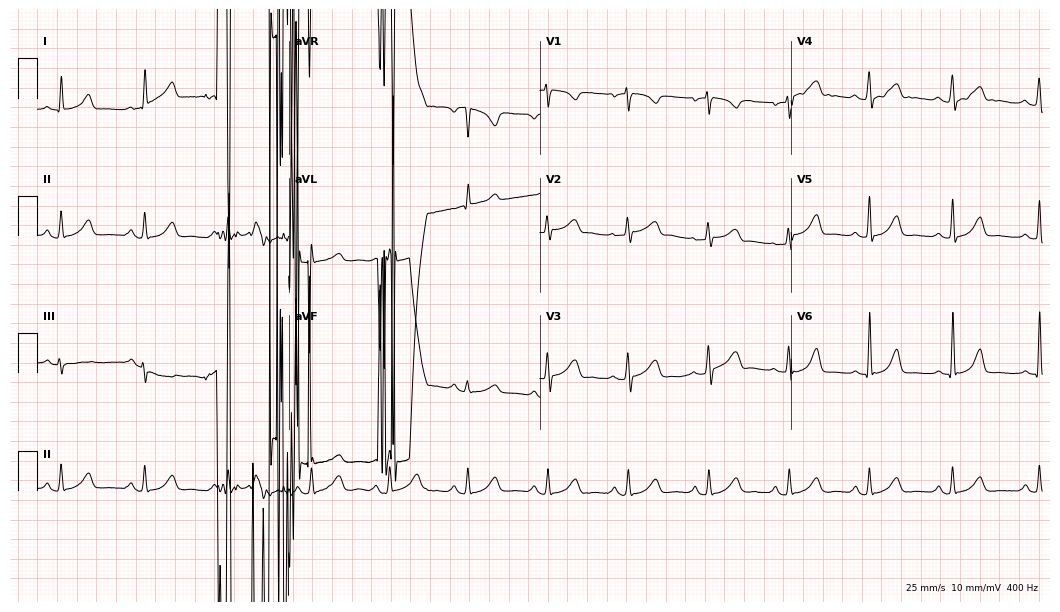
Electrocardiogram, a female patient, 58 years old. Of the six screened findings (first-degree AV block, right bundle branch block, left bundle branch block, sinus bradycardia, atrial fibrillation, sinus tachycardia), none is recorded. Findings outside these six are not listed.